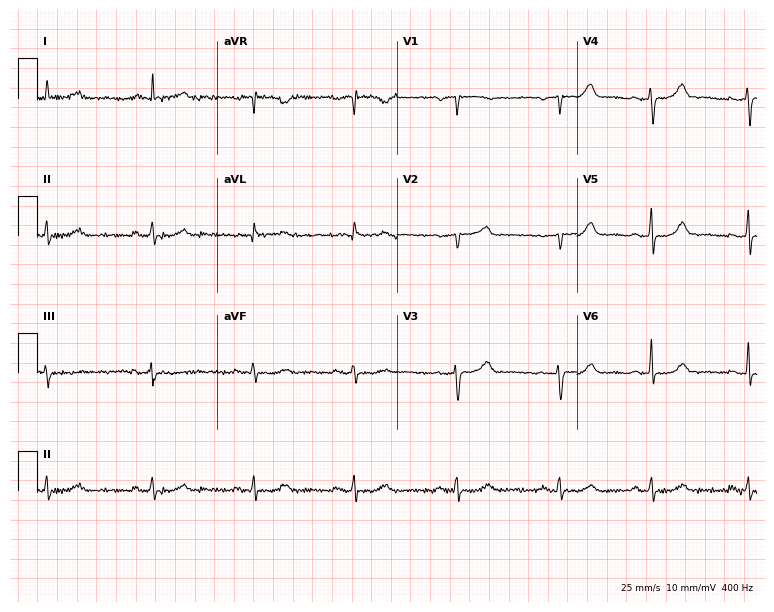
12-lead ECG from a woman, 61 years old (7.3-second recording at 400 Hz). Recorded interpretation: within normal limits.